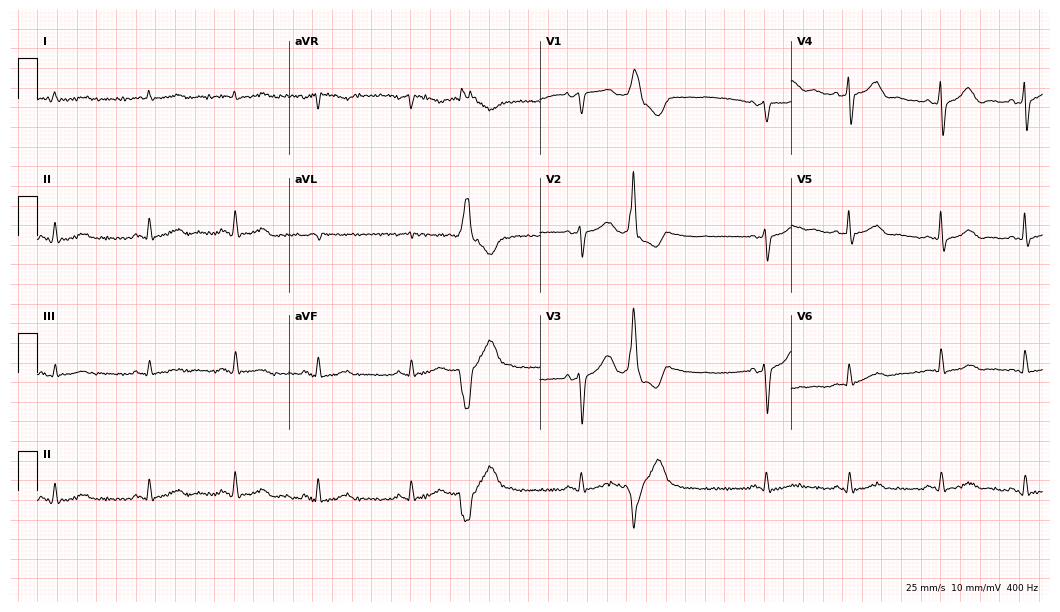
Resting 12-lead electrocardiogram. Patient: a 70-year-old female. None of these six findings is recorded: first-degree AV block, right bundle branch block, left bundle branch block, sinus bradycardia, atrial fibrillation, sinus tachycardia. Other findings, if any, are not listed.